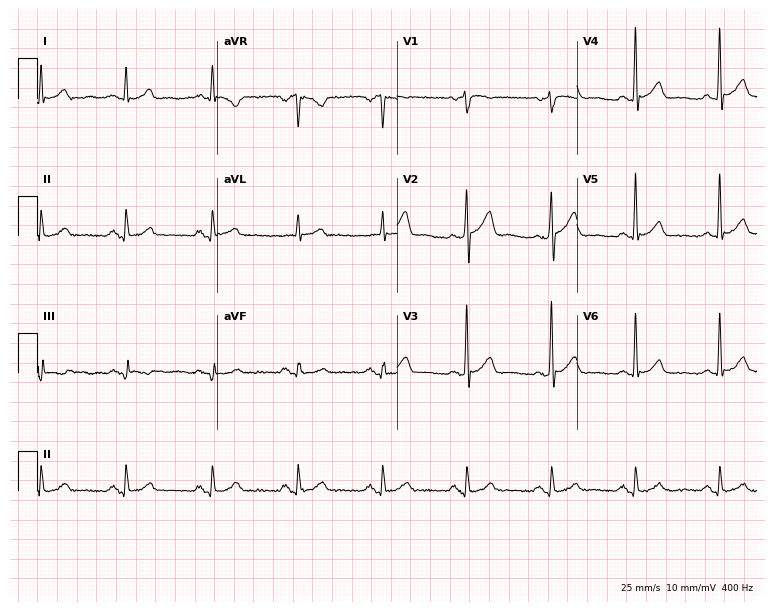
Electrocardiogram (7.3-second recording at 400 Hz), a 67-year-old male. Overall reading on record: normal ECG.